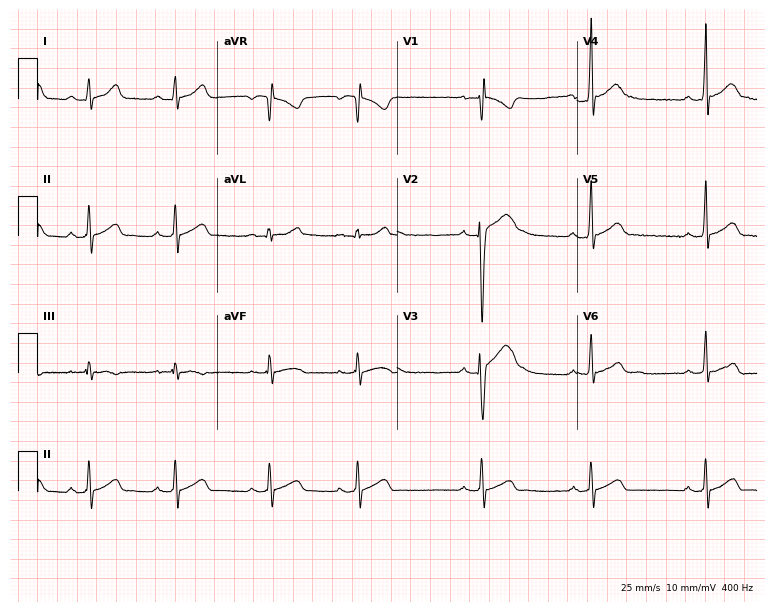
Electrocardiogram, a 20-year-old male. Of the six screened findings (first-degree AV block, right bundle branch block (RBBB), left bundle branch block (LBBB), sinus bradycardia, atrial fibrillation (AF), sinus tachycardia), none is recorded.